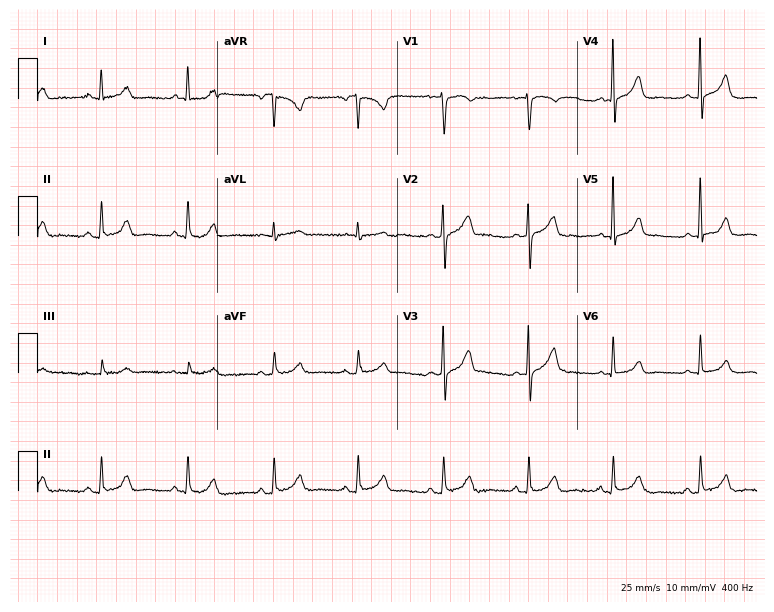
12-lead ECG from a 45-year-old woman (7.3-second recording at 400 Hz). No first-degree AV block, right bundle branch block (RBBB), left bundle branch block (LBBB), sinus bradycardia, atrial fibrillation (AF) or sinus tachycardia recorded for this tracing.